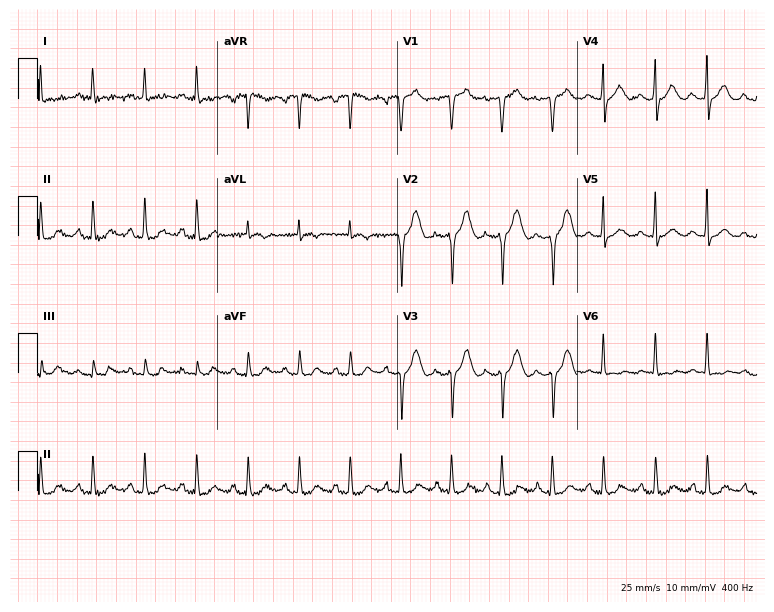
12-lead ECG from a woman, 71 years old. No first-degree AV block, right bundle branch block, left bundle branch block, sinus bradycardia, atrial fibrillation or sinus tachycardia recorded for this tracing.